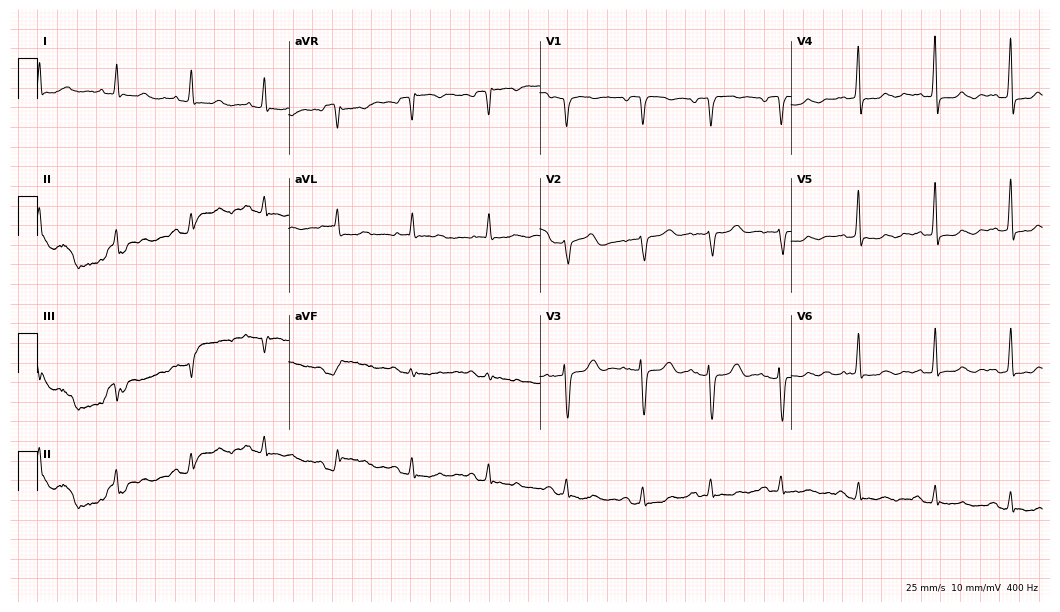
Electrocardiogram (10.2-second recording at 400 Hz), a woman, 62 years old. Of the six screened findings (first-degree AV block, right bundle branch block, left bundle branch block, sinus bradycardia, atrial fibrillation, sinus tachycardia), none is recorded.